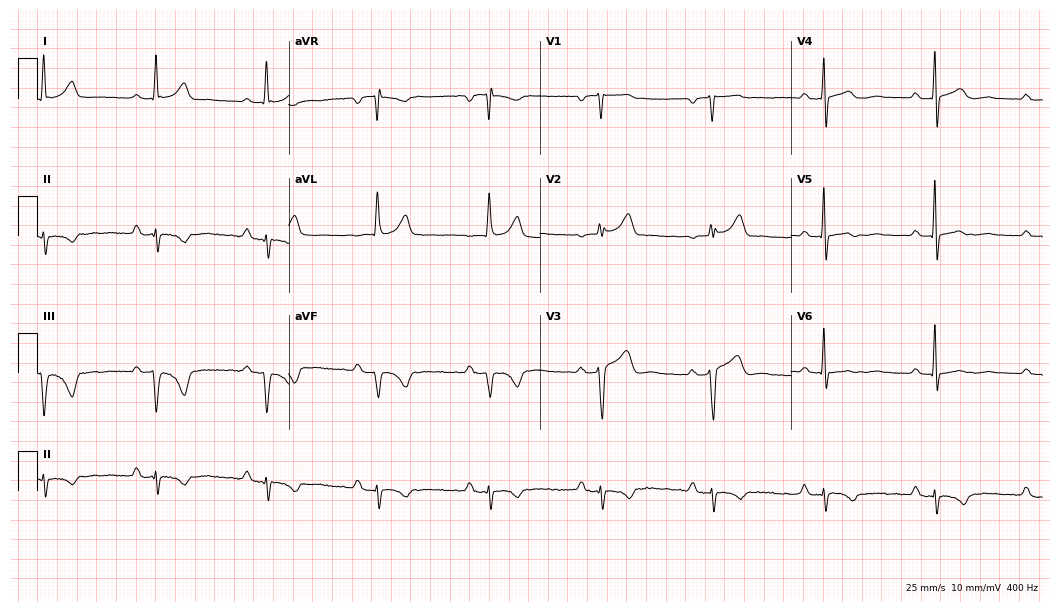
Electrocardiogram (10.2-second recording at 400 Hz), a male patient, 69 years old. Interpretation includes first-degree AV block.